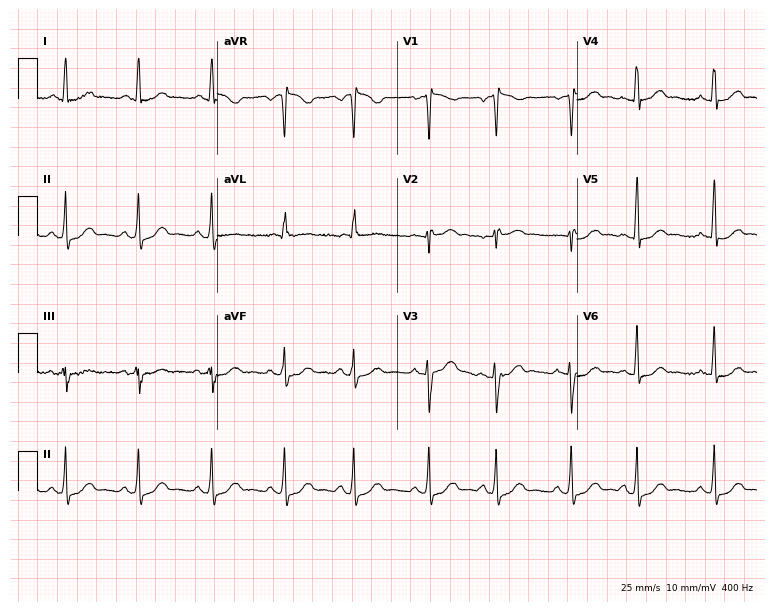
Standard 12-lead ECG recorded from a female patient, 42 years old. Read as a normal ECG.